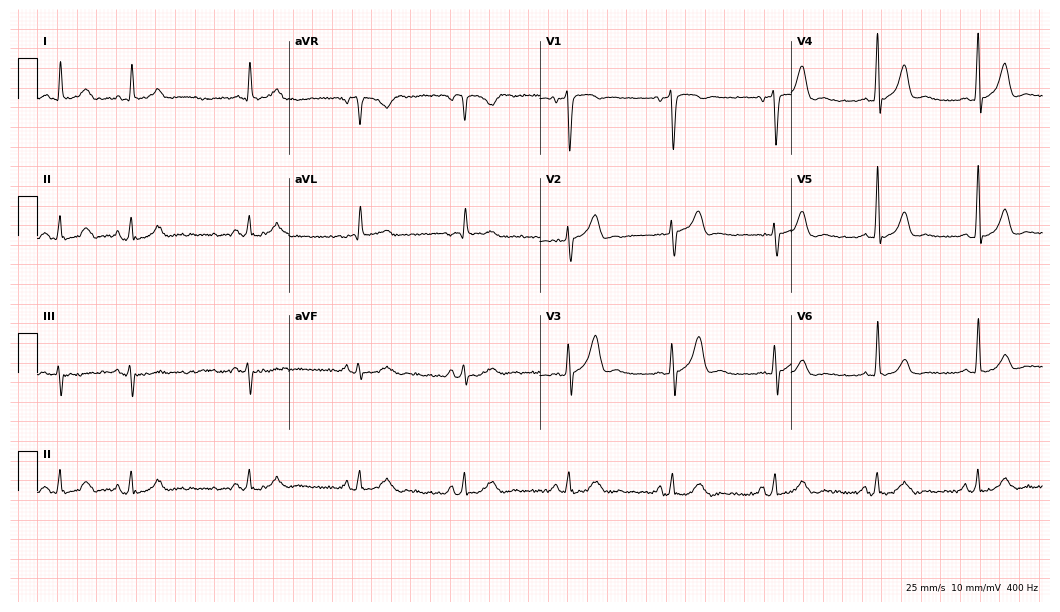
Resting 12-lead electrocardiogram (10.2-second recording at 400 Hz). Patient: a 68-year-old male. None of these six findings is recorded: first-degree AV block, right bundle branch block, left bundle branch block, sinus bradycardia, atrial fibrillation, sinus tachycardia. Findings outside these six are not listed.